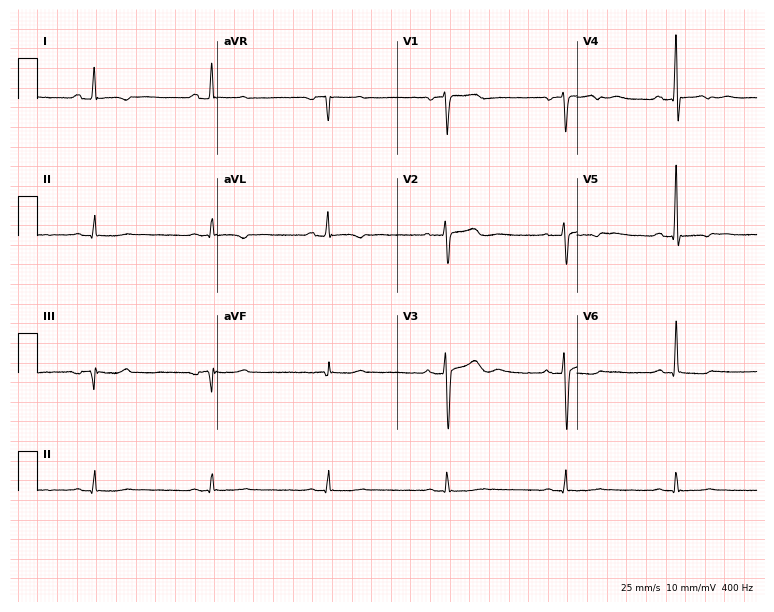
Electrocardiogram (7.3-second recording at 400 Hz), a 48-year-old female. Of the six screened findings (first-degree AV block, right bundle branch block, left bundle branch block, sinus bradycardia, atrial fibrillation, sinus tachycardia), none is recorded.